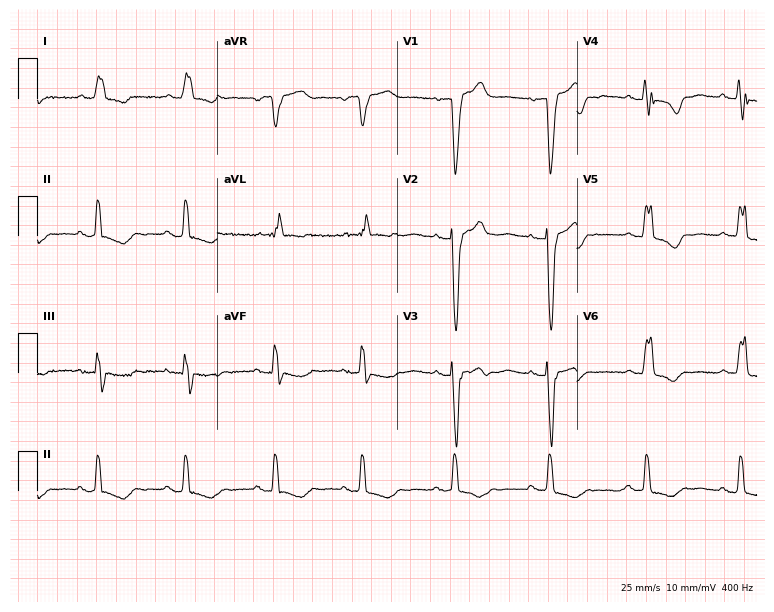
Resting 12-lead electrocardiogram (7.3-second recording at 400 Hz). Patient: a female, 62 years old. The tracing shows left bundle branch block (LBBB).